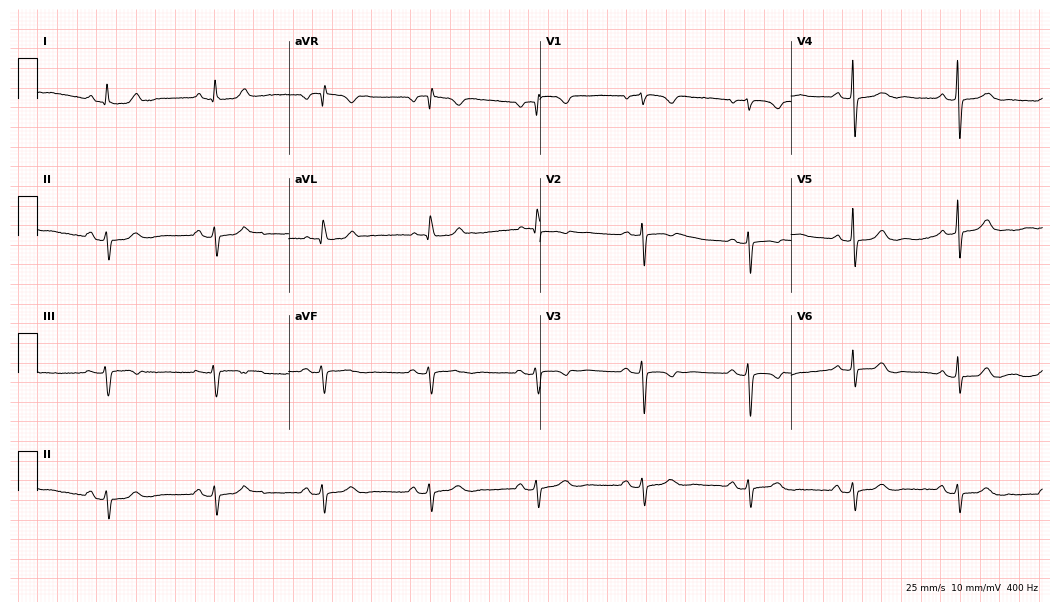
Standard 12-lead ECG recorded from a 78-year-old woman (10.2-second recording at 400 Hz). None of these six findings is recorded: first-degree AV block, right bundle branch block, left bundle branch block, sinus bradycardia, atrial fibrillation, sinus tachycardia. Other findings, if any, are not listed.